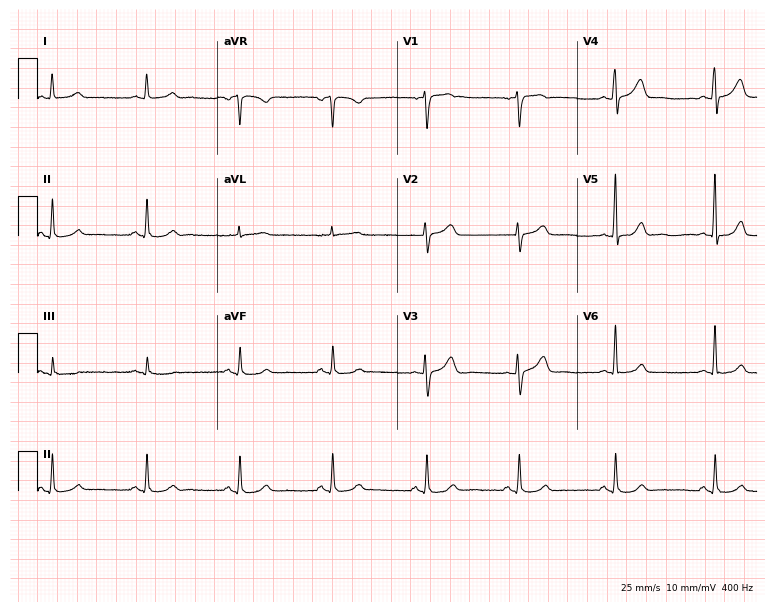
ECG (7.3-second recording at 400 Hz) — a 51-year-old female patient. Labelled as a normal ECG.